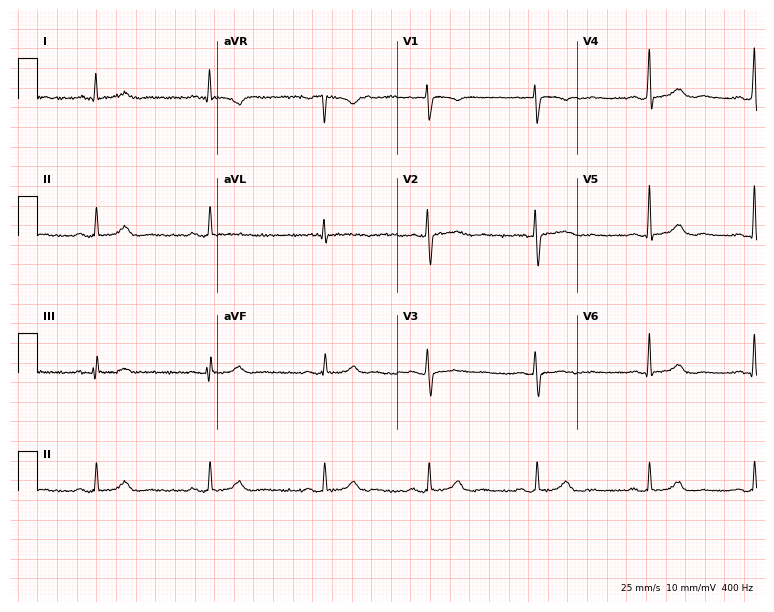
12-lead ECG from a female patient, 37 years old. Labelled as a normal ECG.